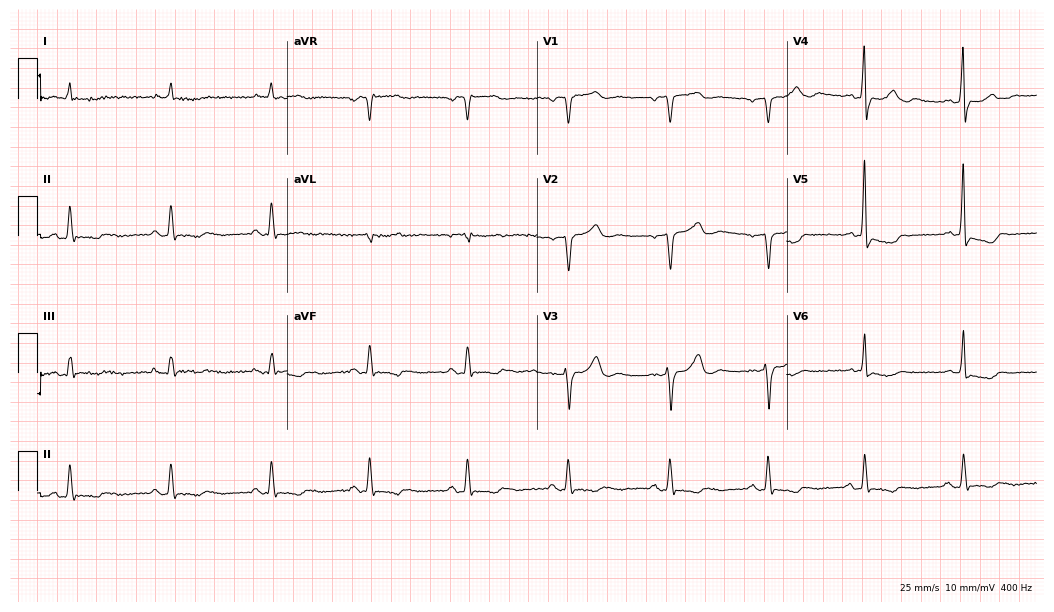
Resting 12-lead electrocardiogram (10.2-second recording at 400 Hz). Patient: a male, 83 years old. The tracing shows left bundle branch block.